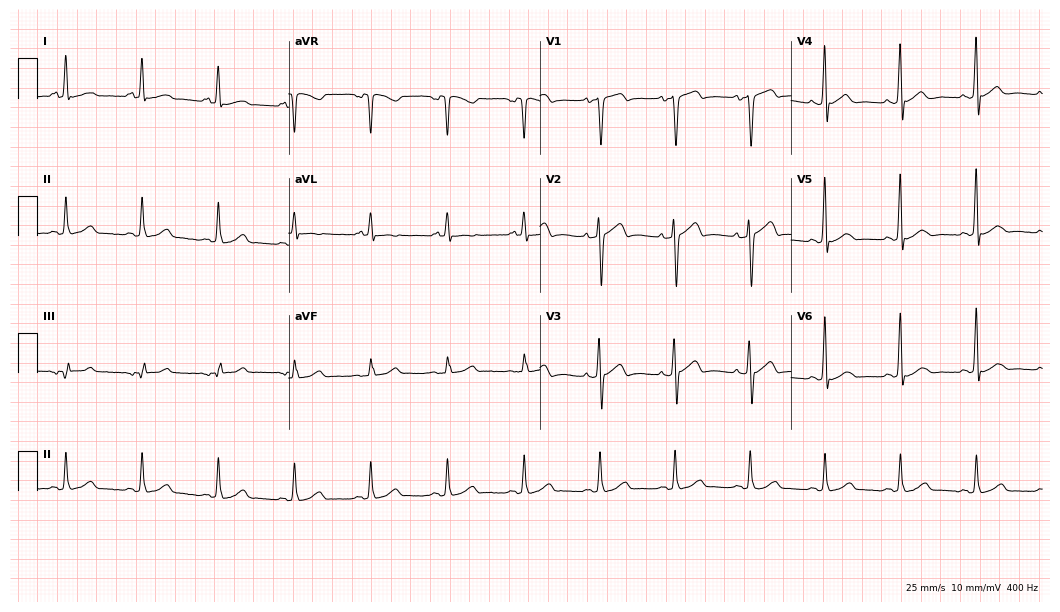
12-lead ECG from a female, 57 years old. No first-degree AV block, right bundle branch block (RBBB), left bundle branch block (LBBB), sinus bradycardia, atrial fibrillation (AF) or sinus tachycardia recorded for this tracing. Only these six findings were labelled.